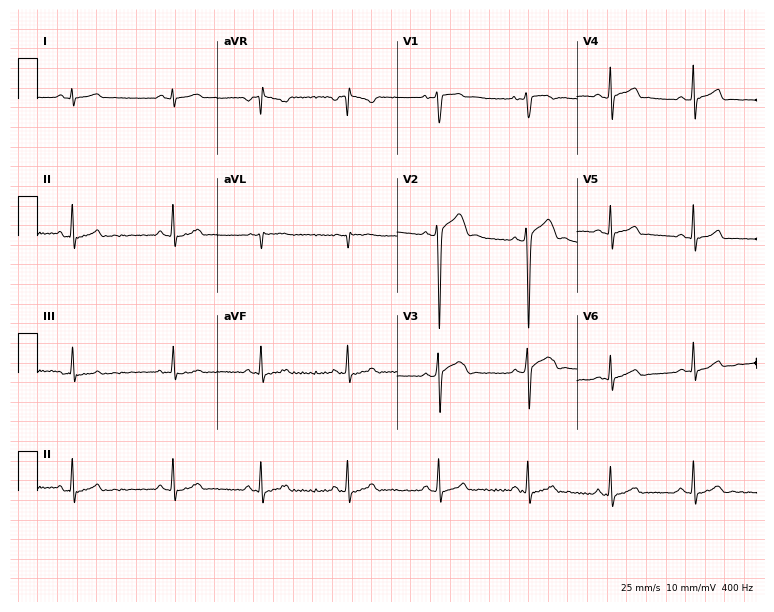
Electrocardiogram (7.3-second recording at 400 Hz), a male, 20 years old. Of the six screened findings (first-degree AV block, right bundle branch block, left bundle branch block, sinus bradycardia, atrial fibrillation, sinus tachycardia), none is recorded.